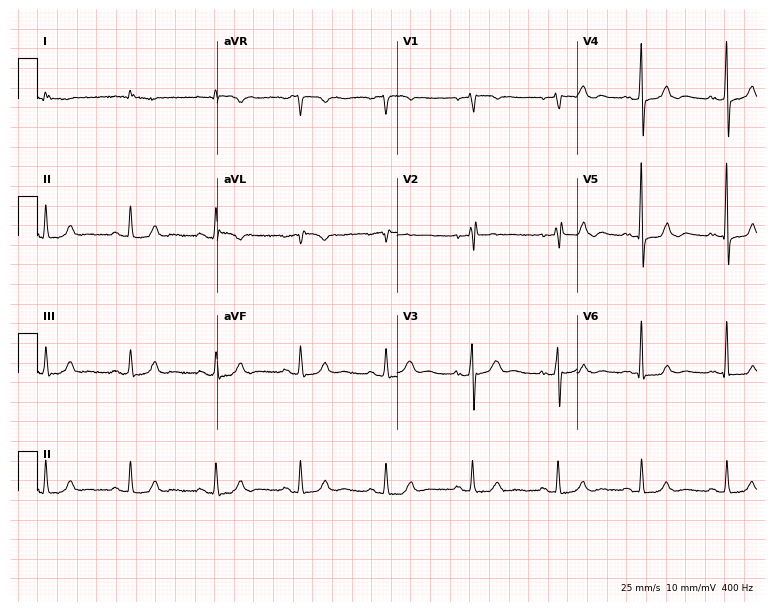
12-lead ECG from a male patient, 78 years old. Recorded interpretation: within normal limits.